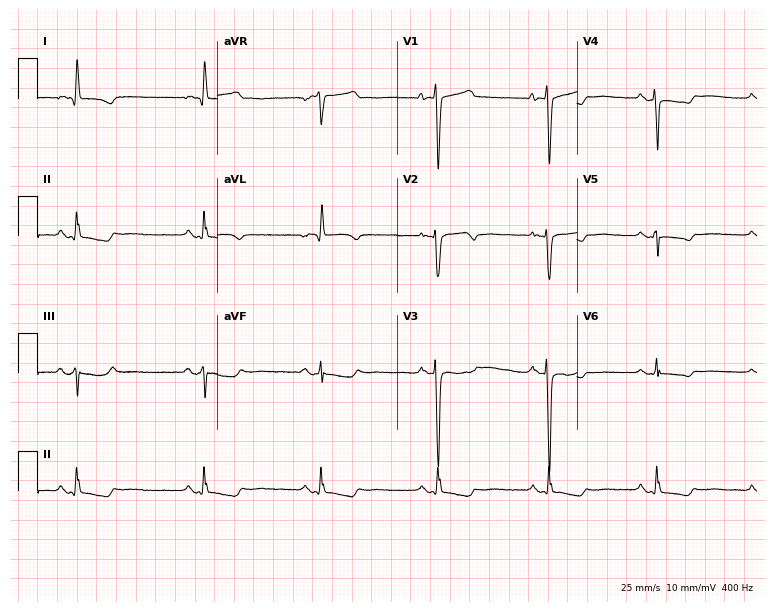
Electrocardiogram (7.3-second recording at 400 Hz), a female, 63 years old. Of the six screened findings (first-degree AV block, right bundle branch block (RBBB), left bundle branch block (LBBB), sinus bradycardia, atrial fibrillation (AF), sinus tachycardia), none is recorded. Only these six findings were labelled.